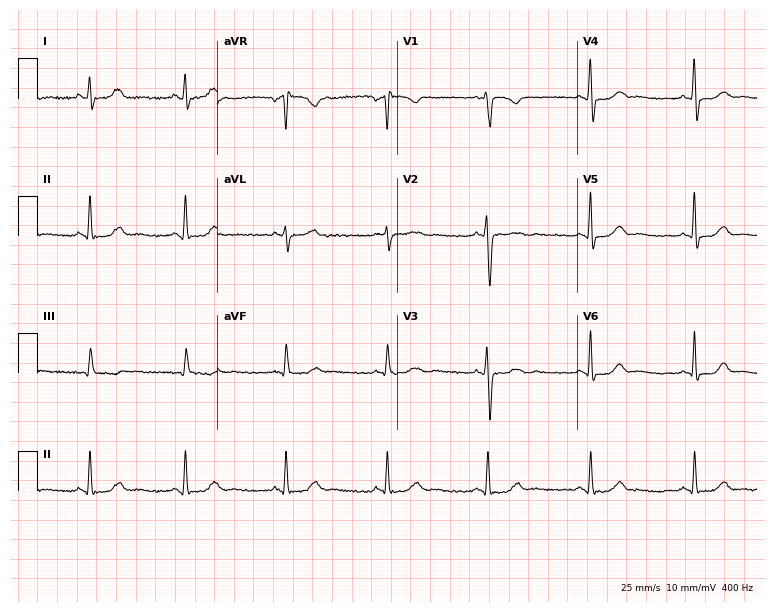
Resting 12-lead electrocardiogram (7.3-second recording at 400 Hz). Patient: a female, 54 years old. None of these six findings is recorded: first-degree AV block, right bundle branch block, left bundle branch block, sinus bradycardia, atrial fibrillation, sinus tachycardia.